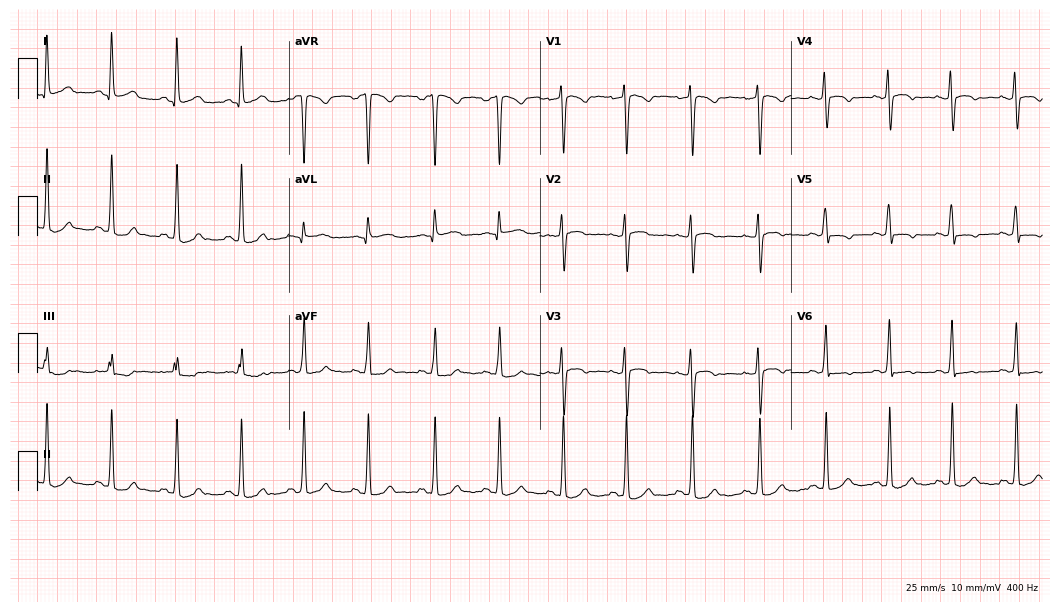
12-lead ECG (10.2-second recording at 400 Hz) from a female, 35 years old. Screened for six findings — first-degree AV block, right bundle branch block, left bundle branch block, sinus bradycardia, atrial fibrillation, sinus tachycardia — none is recorded.